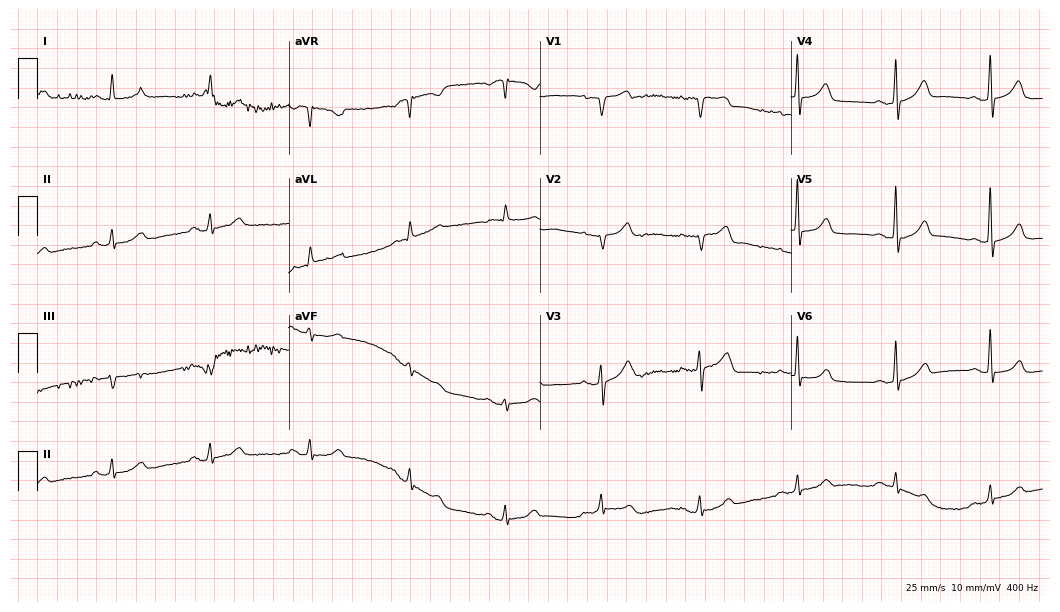
Resting 12-lead electrocardiogram. Patient: a 70-year-old female. Read as a normal ECG.